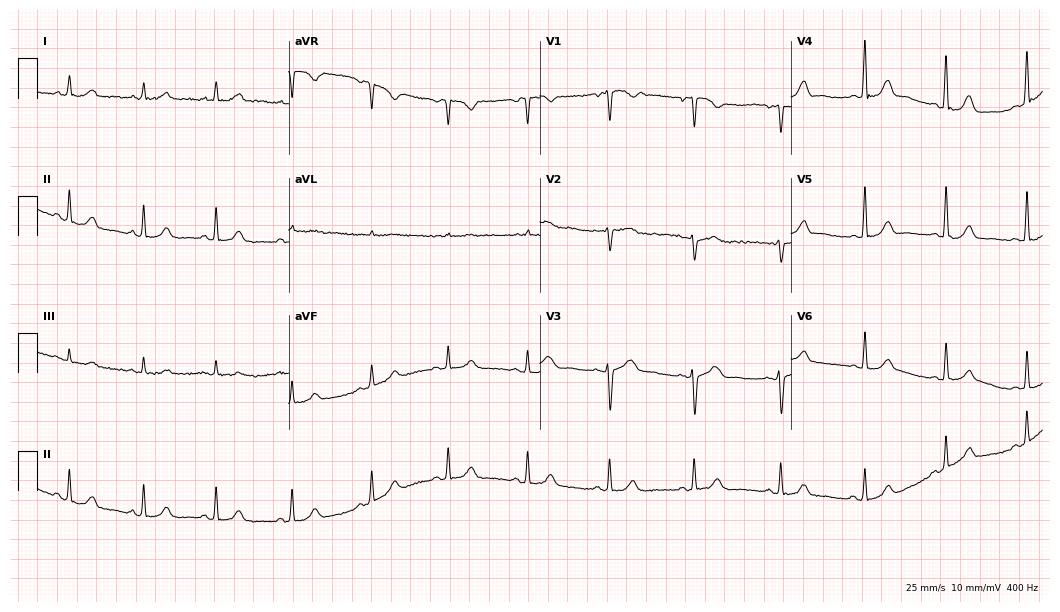
12-lead ECG from a 40-year-old female. Labelled as a normal ECG.